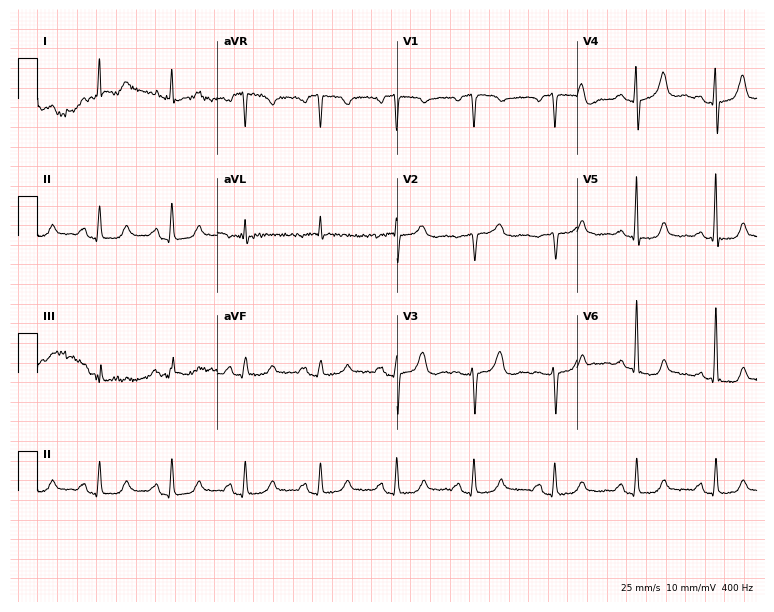
ECG — a woman, 72 years old. Labelled as a normal ECG.